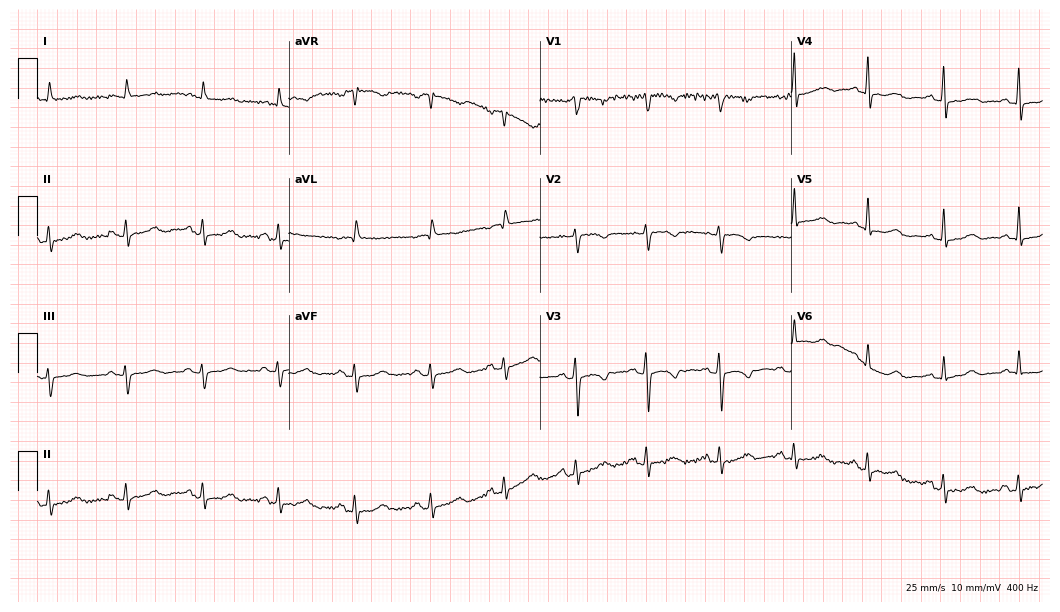
Standard 12-lead ECG recorded from a woman, 80 years old (10.2-second recording at 400 Hz). Read as a normal ECG.